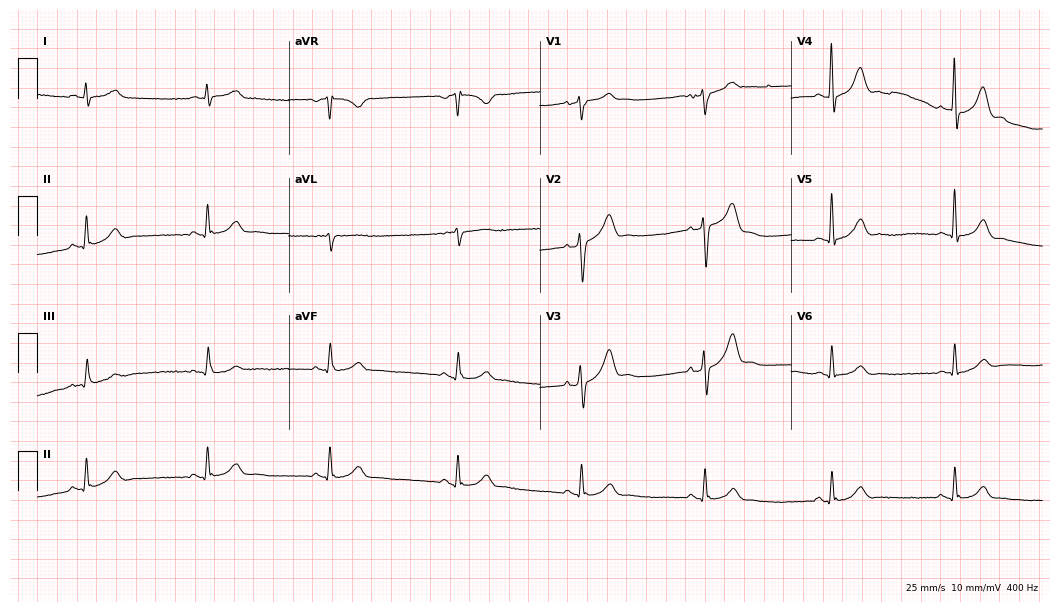
Resting 12-lead electrocardiogram. Patient: a 58-year-old male. None of these six findings is recorded: first-degree AV block, right bundle branch block, left bundle branch block, sinus bradycardia, atrial fibrillation, sinus tachycardia. Only these six findings were labelled.